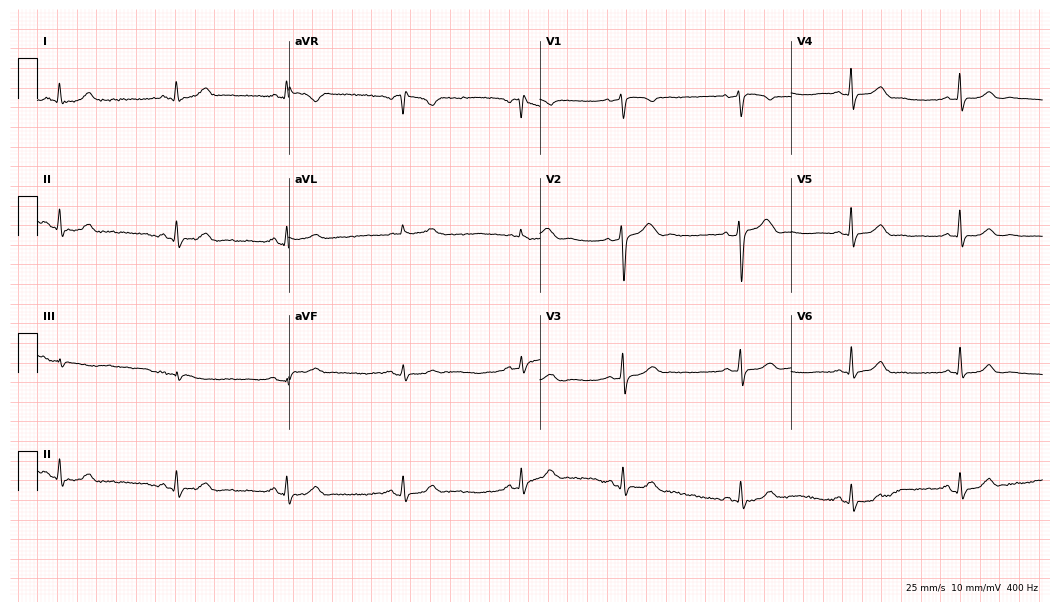
12-lead ECG from a 42-year-old woman. Recorded interpretation: within normal limits.